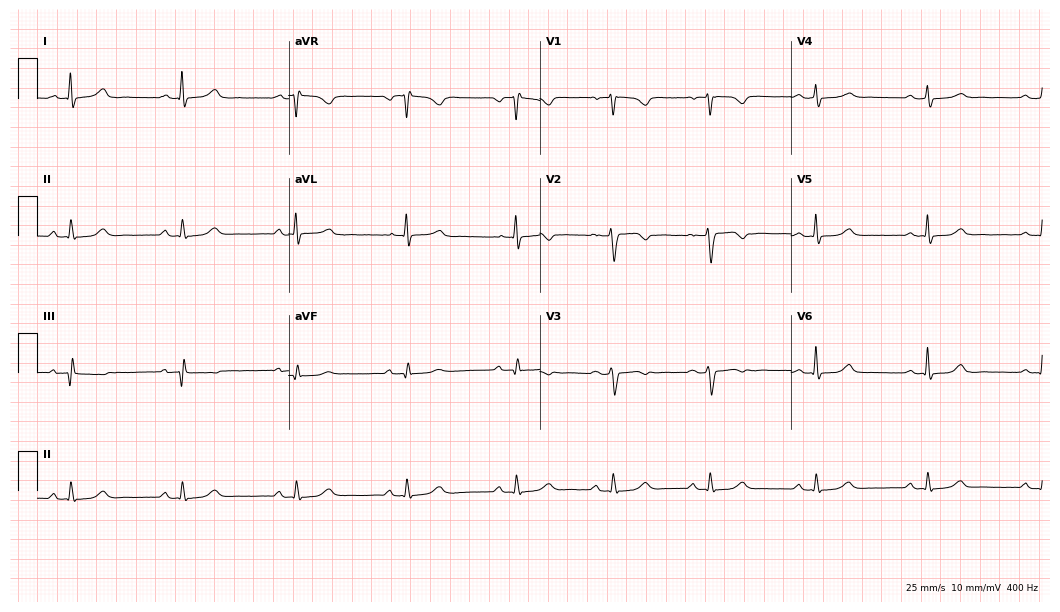
Standard 12-lead ECG recorded from a 44-year-old female patient (10.2-second recording at 400 Hz). Read as a normal ECG.